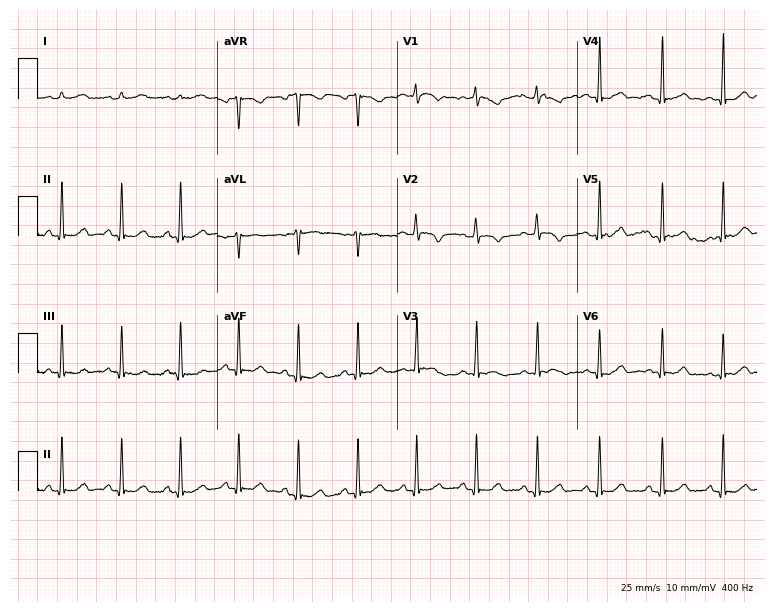
ECG (7.3-second recording at 400 Hz) — an 18-year-old female patient. Labelled as a normal ECG.